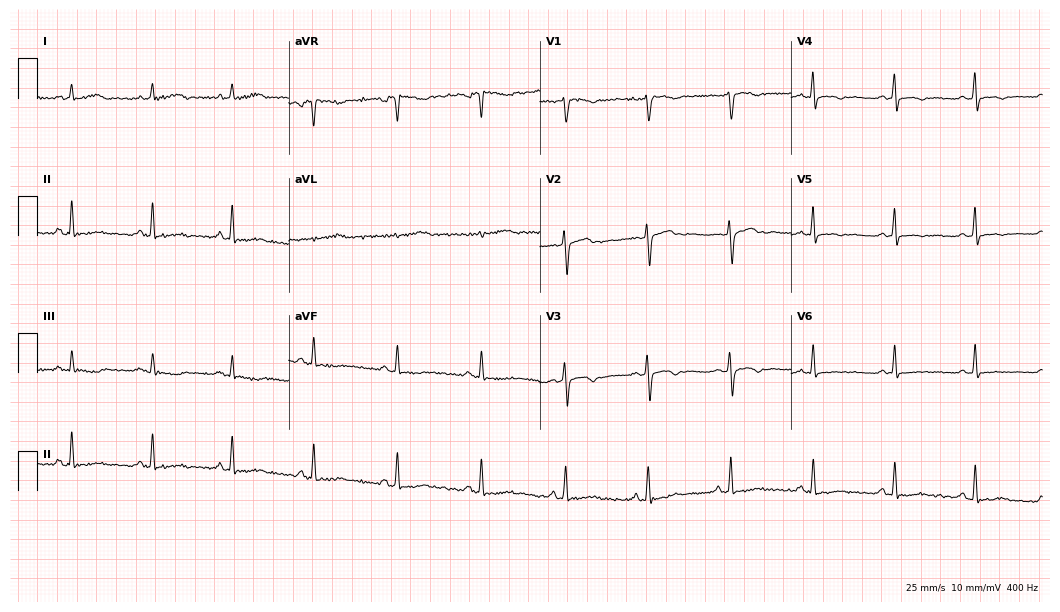
Electrocardiogram, a 29-year-old female patient. Overall reading on record: normal ECG.